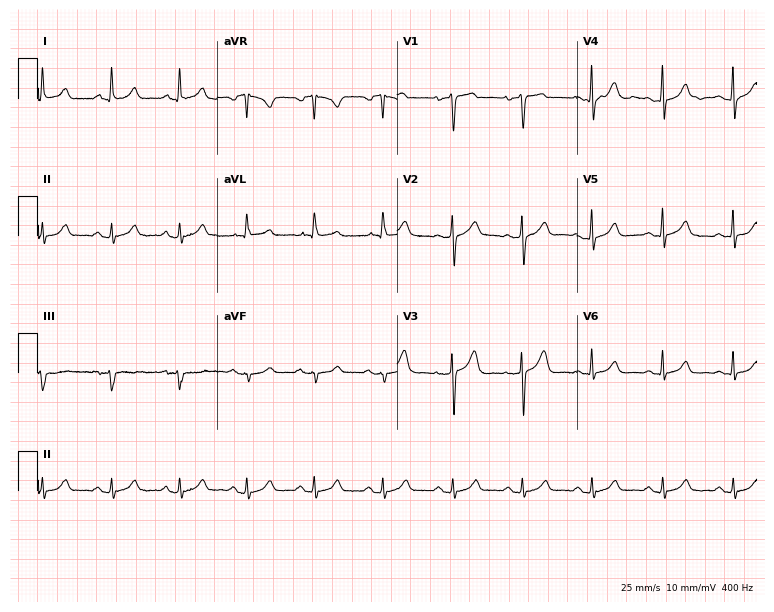
Resting 12-lead electrocardiogram (7.3-second recording at 400 Hz). Patient: a 52-year-old woman. None of these six findings is recorded: first-degree AV block, right bundle branch block, left bundle branch block, sinus bradycardia, atrial fibrillation, sinus tachycardia.